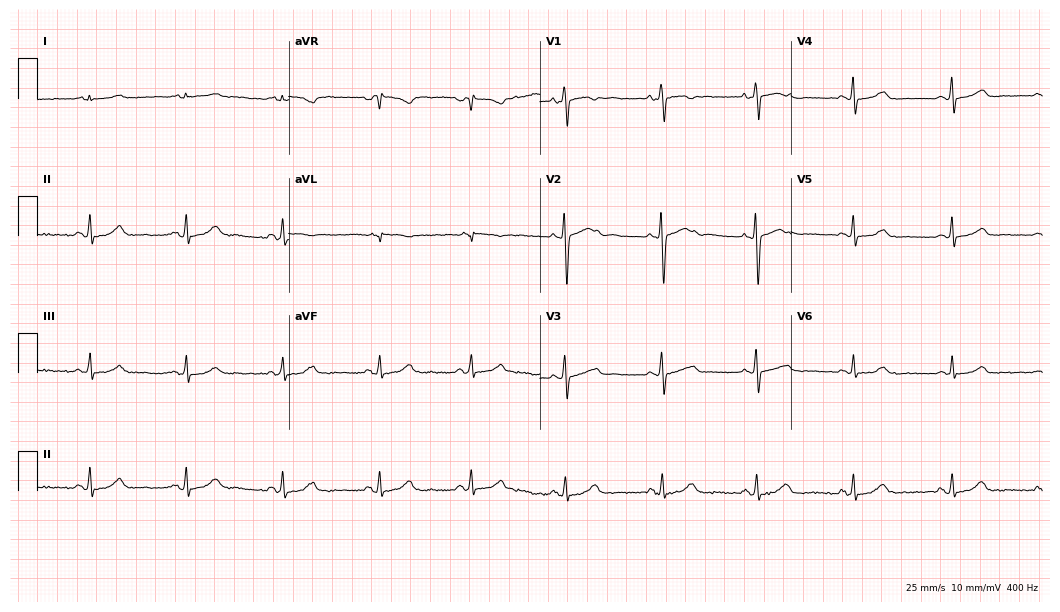
12-lead ECG from a 31-year-old female. Recorded interpretation: within normal limits.